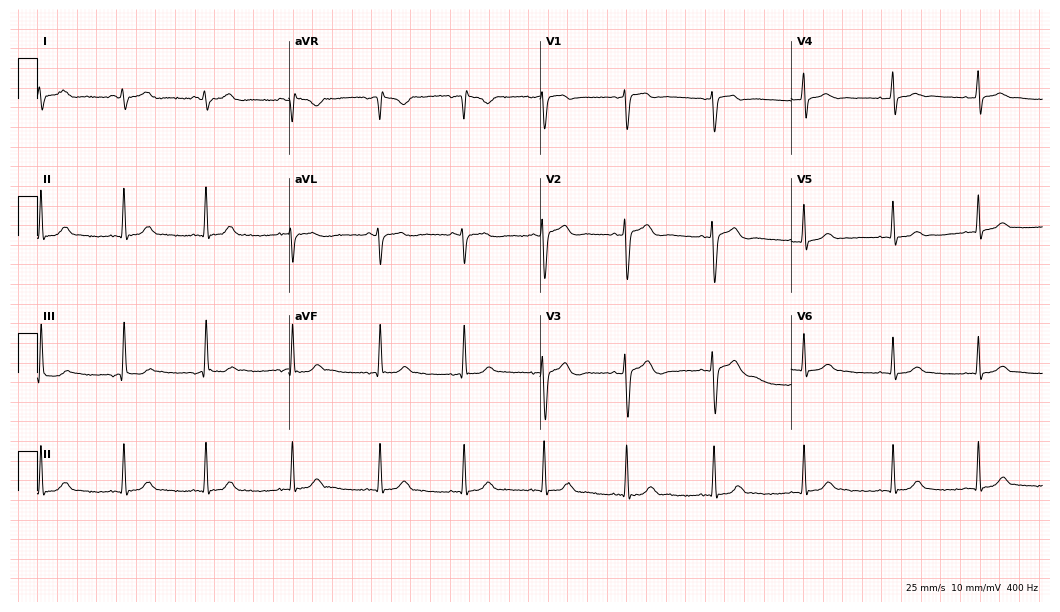
12-lead ECG from a female, 35 years old. Labelled as a normal ECG.